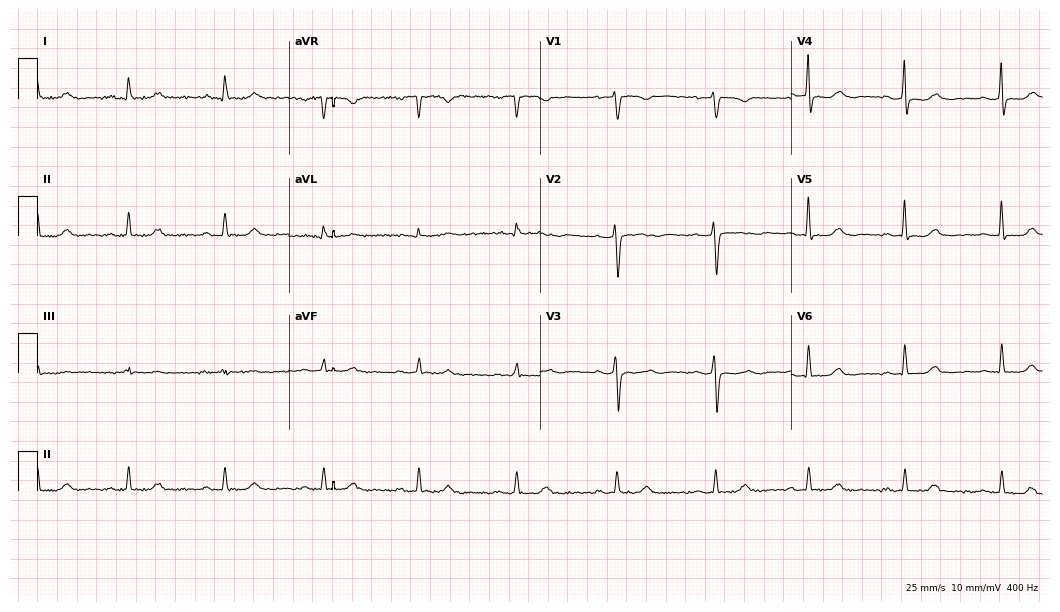
12-lead ECG from a 41-year-old female patient (10.2-second recording at 400 Hz). Recorded interpretation: within normal limits.